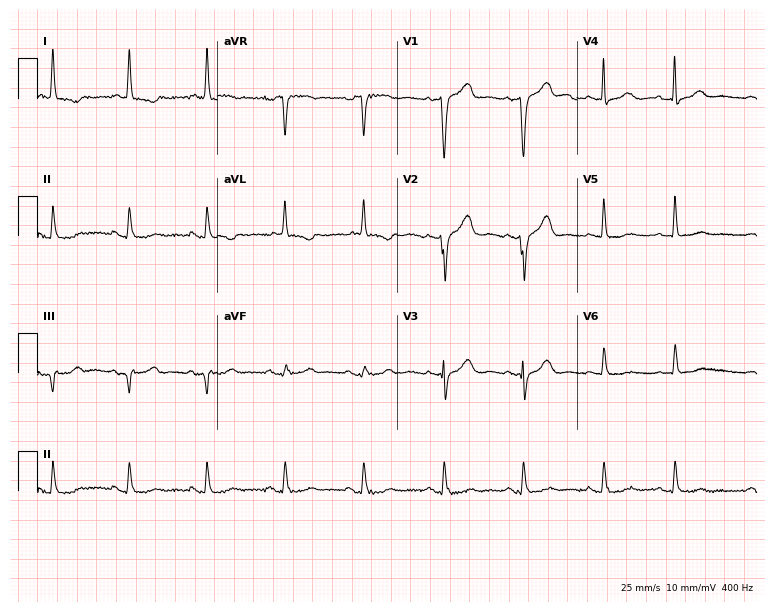
12-lead ECG from a female patient, 78 years old (7.3-second recording at 400 Hz). No first-degree AV block, right bundle branch block, left bundle branch block, sinus bradycardia, atrial fibrillation or sinus tachycardia recorded for this tracing.